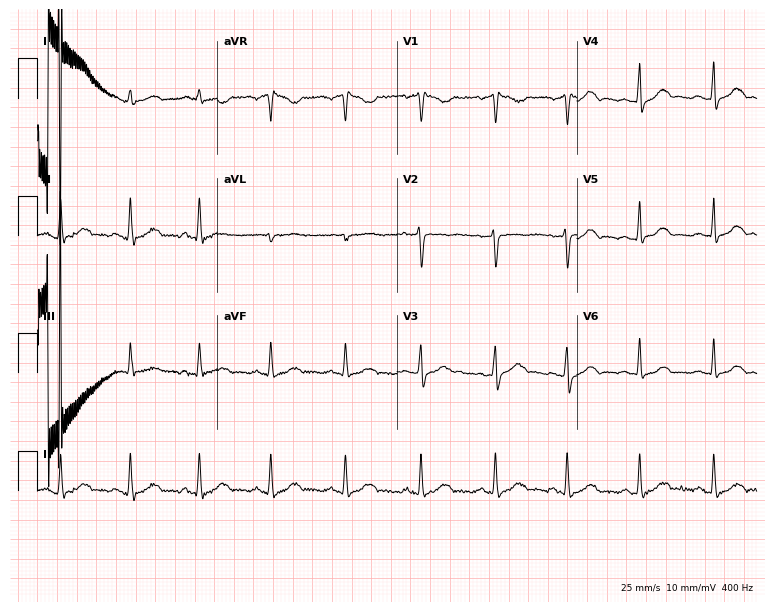
Electrocardiogram, a 26-year-old female. Overall reading on record: normal ECG.